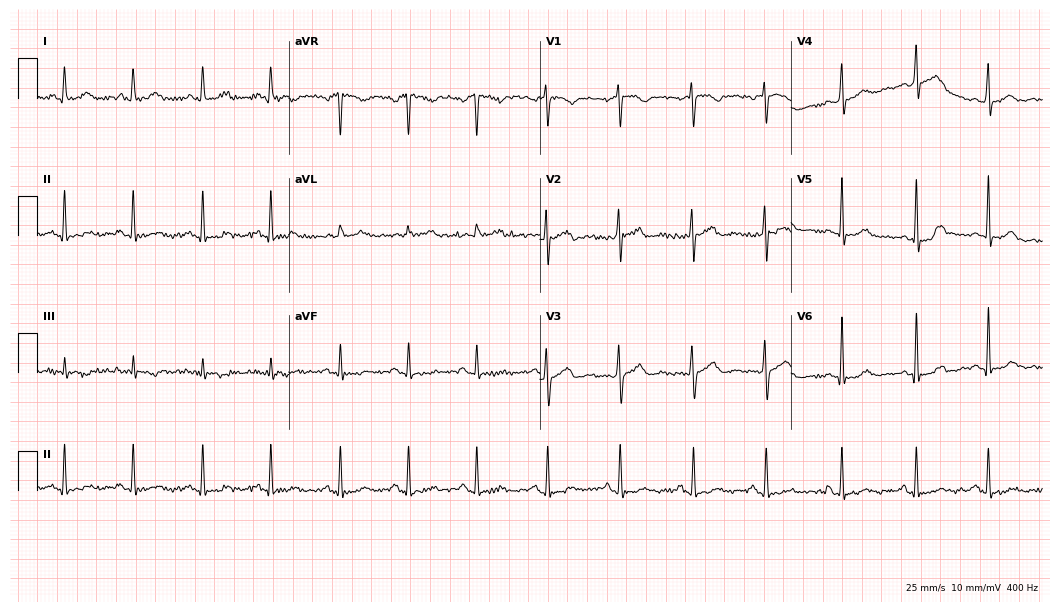
Resting 12-lead electrocardiogram (10.2-second recording at 400 Hz). Patient: a 33-year-old female. None of these six findings is recorded: first-degree AV block, right bundle branch block, left bundle branch block, sinus bradycardia, atrial fibrillation, sinus tachycardia.